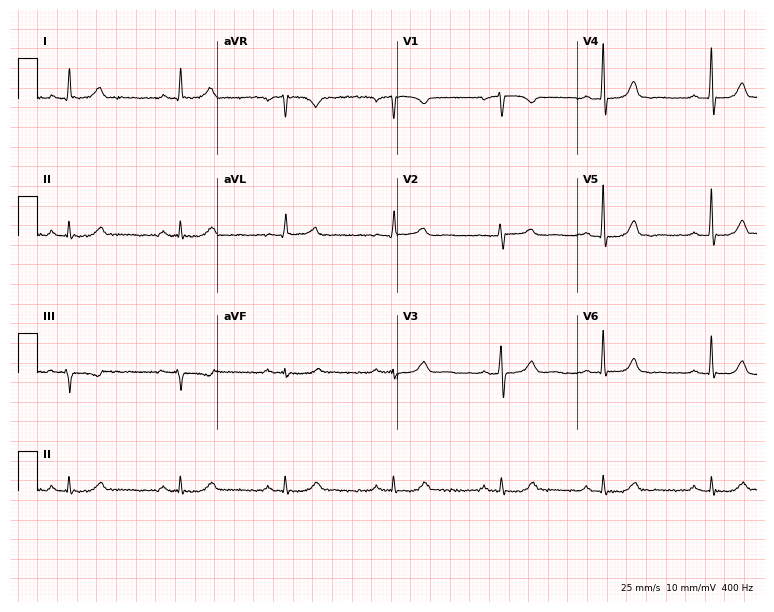
Resting 12-lead electrocardiogram. Patient: a 66-year-old woman. None of these six findings is recorded: first-degree AV block, right bundle branch block, left bundle branch block, sinus bradycardia, atrial fibrillation, sinus tachycardia.